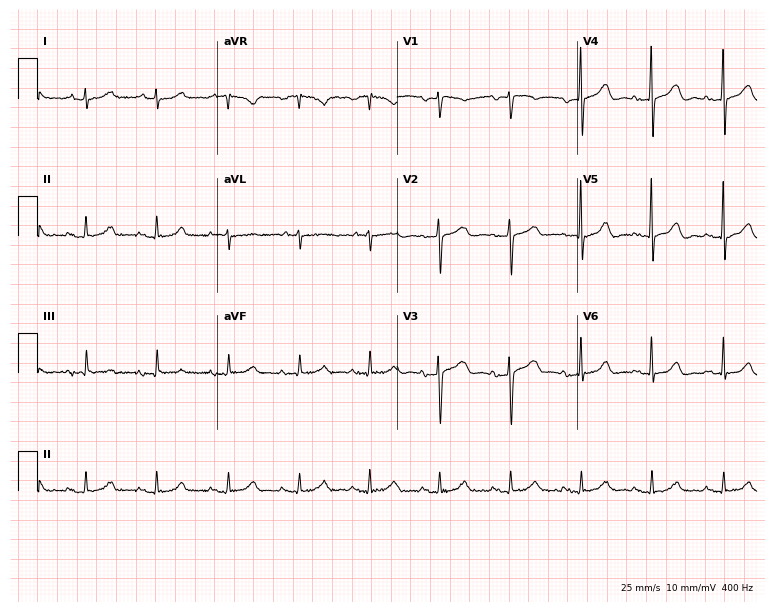
Electrocardiogram (7.3-second recording at 400 Hz), a female, 68 years old. Of the six screened findings (first-degree AV block, right bundle branch block, left bundle branch block, sinus bradycardia, atrial fibrillation, sinus tachycardia), none is recorded.